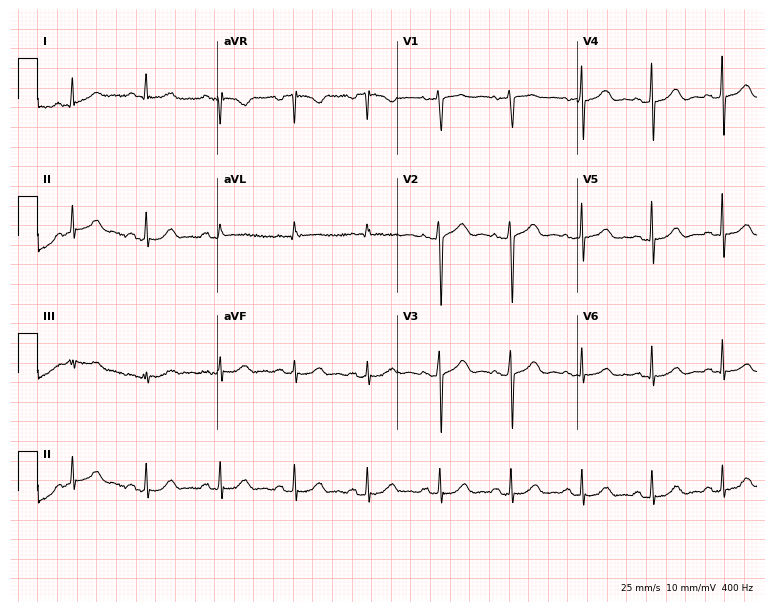
ECG (7.3-second recording at 400 Hz) — a female, 52 years old. Labelled as a normal ECG.